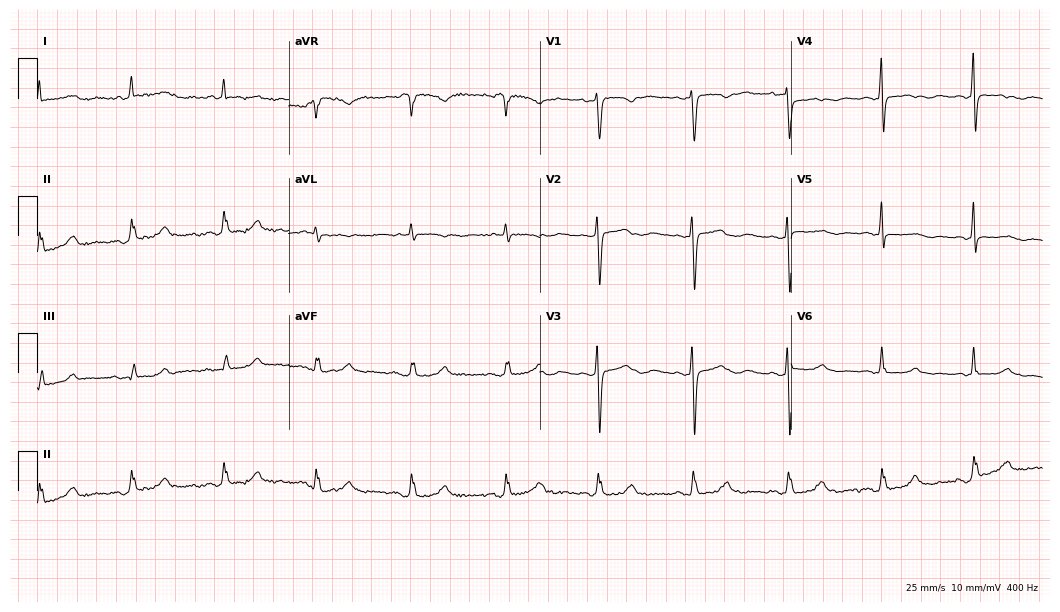
Resting 12-lead electrocardiogram (10.2-second recording at 400 Hz). Patient: a woman, 66 years old. None of these six findings is recorded: first-degree AV block, right bundle branch block, left bundle branch block, sinus bradycardia, atrial fibrillation, sinus tachycardia. Only these six findings were labelled.